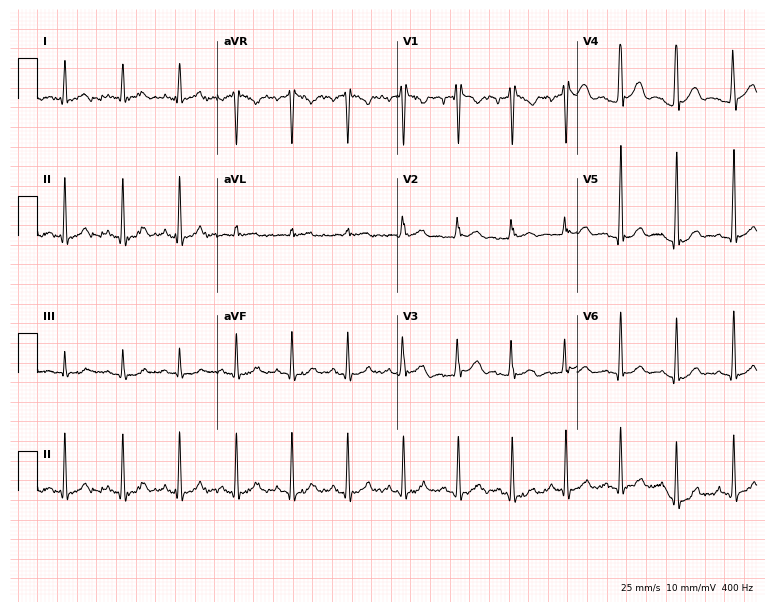
12-lead ECG from a man, 24 years old. Findings include sinus tachycardia (a sinus rate of 100 beats per minute or more).